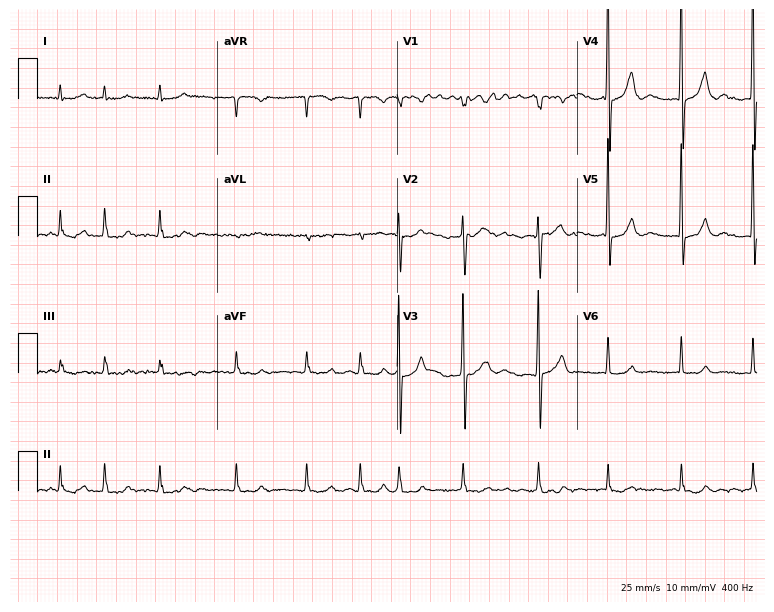
12-lead ECG from a 78-year-old man (7.3-second recording at 400 Hz). Shows atrial fibrillation.